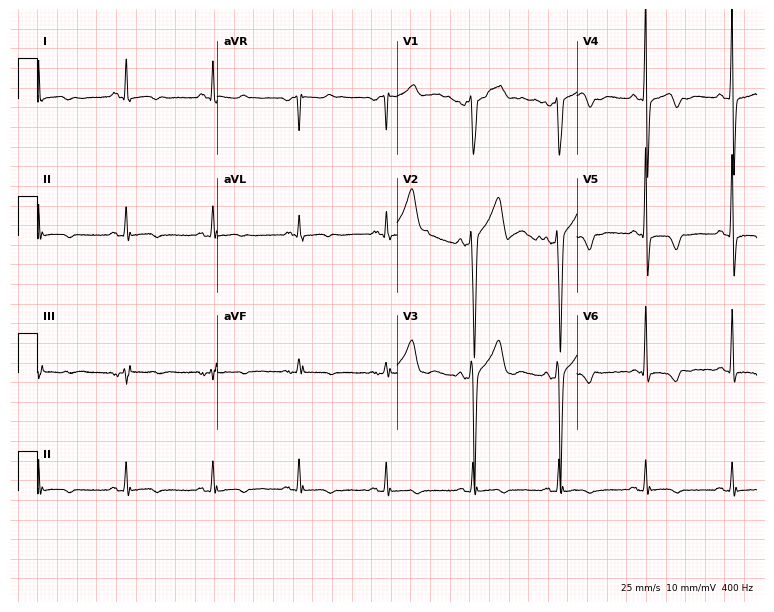
12-lead ECG (7.3-second recording at 400 Hz) from a 64-year-old male. Screened for six findings — first-degree AV block, right bundle branch block, left bundle branch block, sinus bradycardia, atrial fibrillation, sinus tachycardia — none is recorded. Other findings, if any, are not listed.